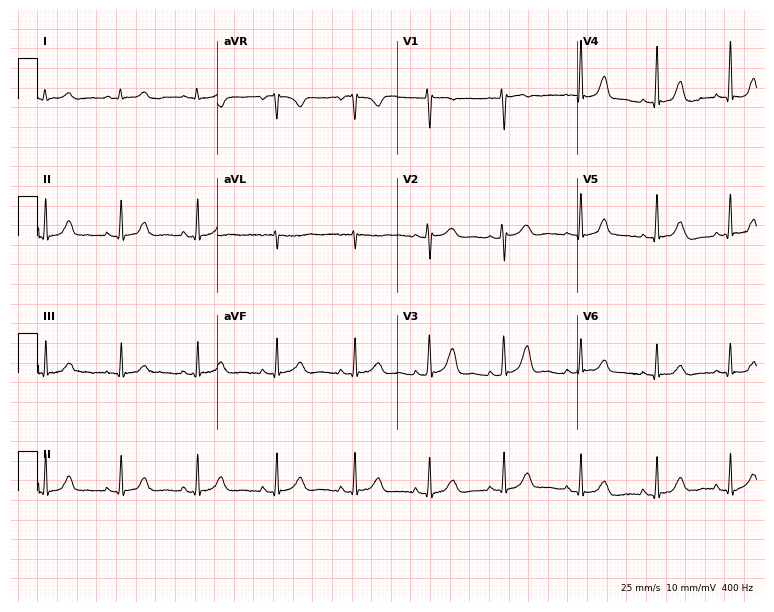
12-lead ECG from a female patient, 34 years old. Recorded interpretation: within normal limits.